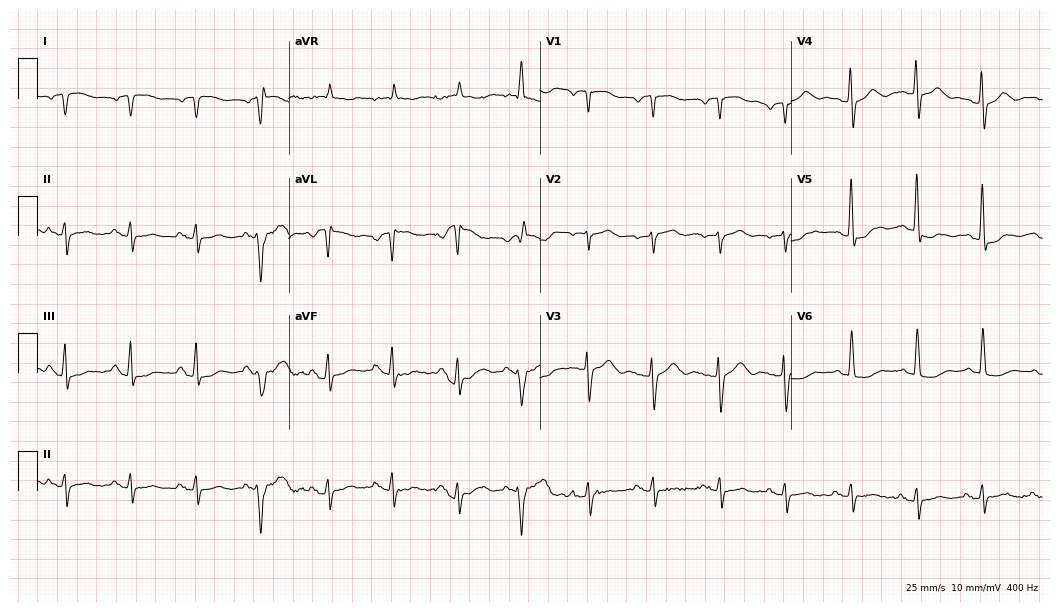
Resting 12-lead electrocardiogram. Patient: a 72-year-old woman. None of these six findings is recorded: first-degree AV block, right bundle branch block, left bundle branch block, sinus bradycardia, atrial fibrillation, sinus tachycardia.